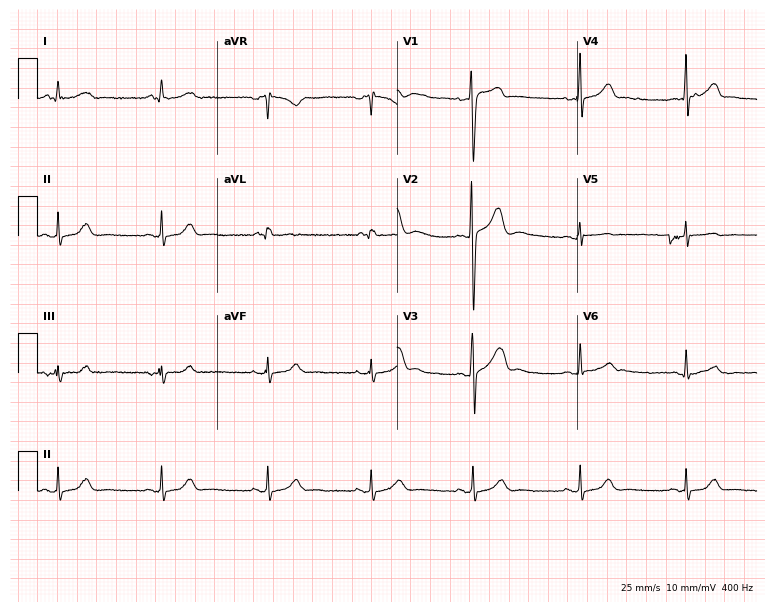
ECG (7.3-second recording at 400 Hz) — a man, 25 years old. Labelled as a normal ECG.